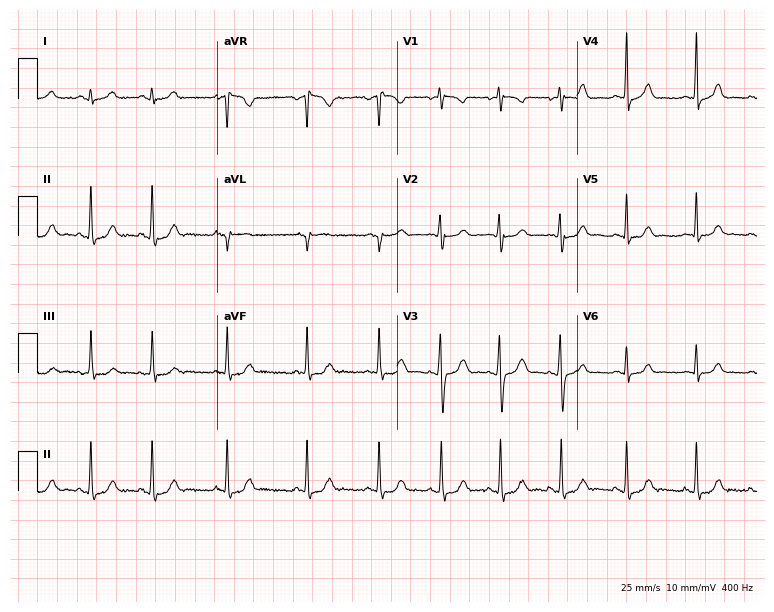
Resting 12-lead electrocardiogram. Patient: a 17-year-old woman. Read as a normal ECG.